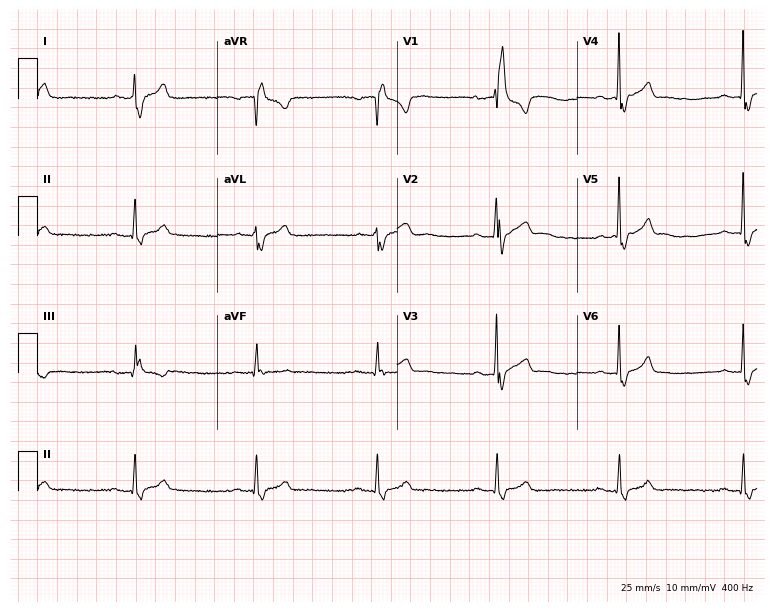
Electrocardiogram, a male, 46 years old. Interpretation includes right bundle branch block.